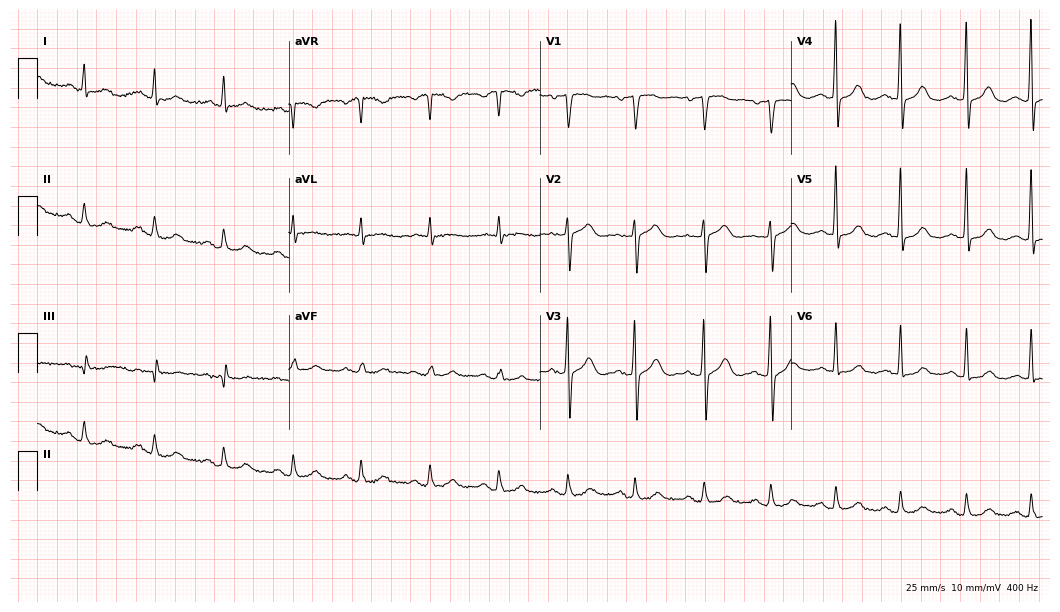
ECG (10.2-second recording at 400 Hz) — a 78-year-old male. Screened for six findings — first-degree AV block, right bundle branch block, left bundle branch block, sinus bradycardia, atrial fibrillation, sinus tachycardia — none is recorded. Other findings, if any, are not listed.